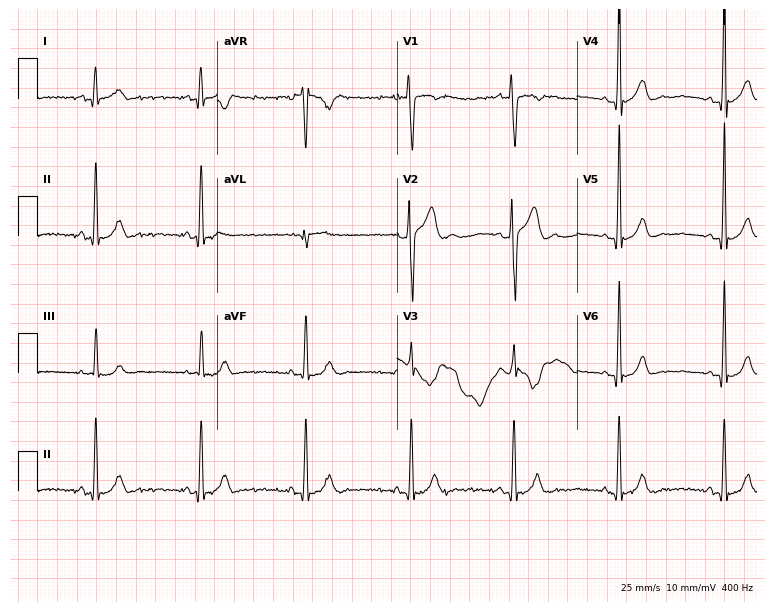
Standard 12-lead ECG recorded from a 22-year-old male patient. Read as a normal ECG.